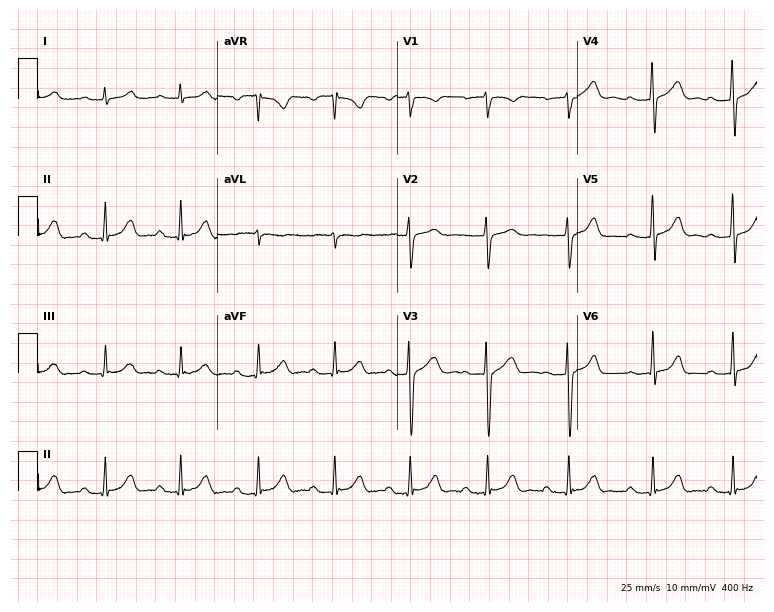
12-lead ECG from an 18-year-old woman (7.3-second recording at 400 Hz). Recorded interpretation: within normal limits.